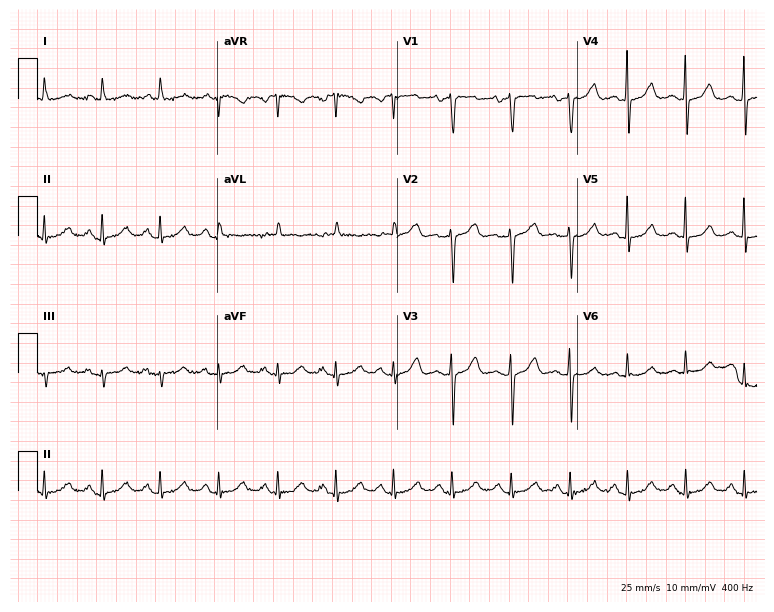
ECG (7.3-second recording at 400 Hz) — a female patient, 77 years old. Findings include sinus tachycardia (a sinus rate of 100 beats per minute or more).